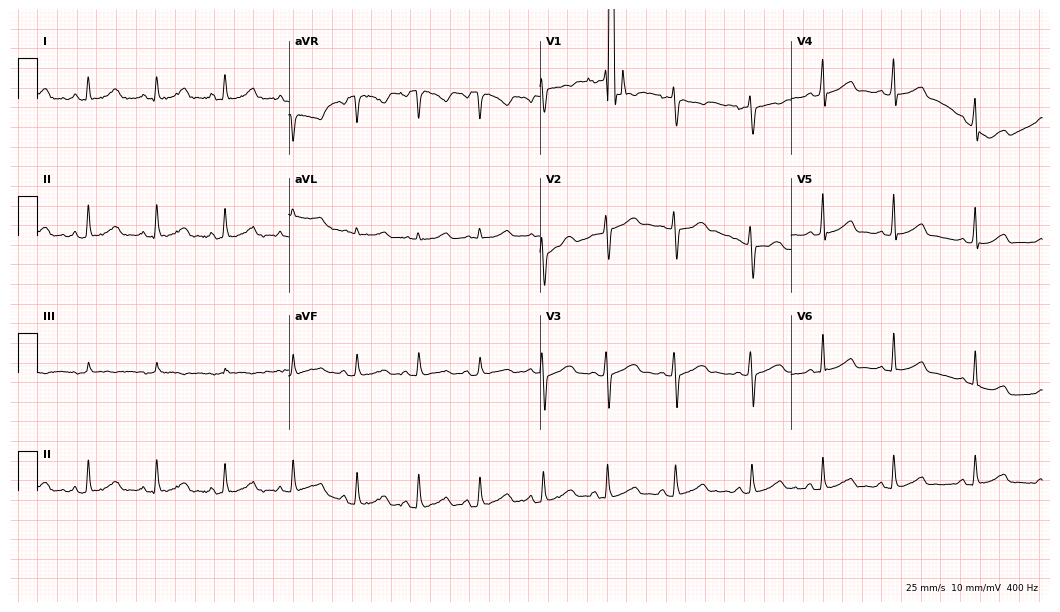
12-lead ECG from a 21-year-old female patient (10.2-second recording at 400 Hz). Recorded interpretation: within normal limits.